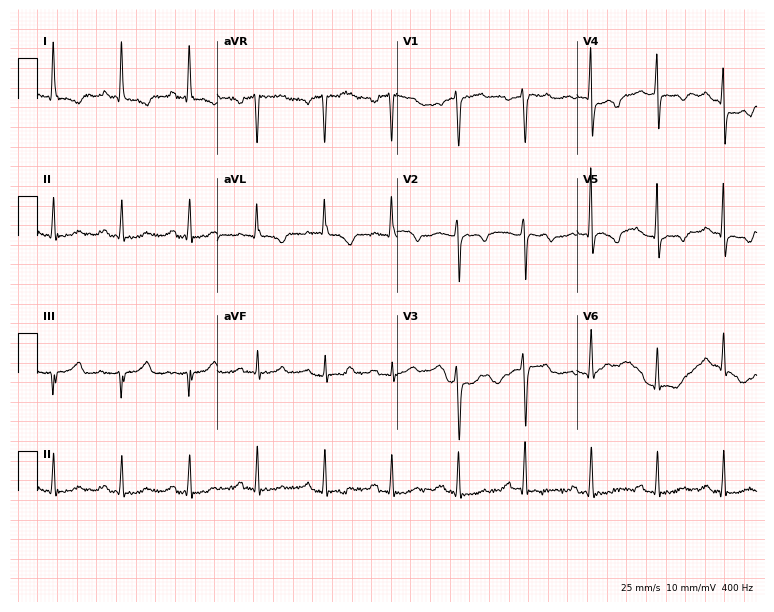
Standard 12-lead ECG recorded from a 72-year-old woman. None of these six findings is recorded: first-degree AV block, right bundle branch block, left bundle branch block, sinus bradycardia, atrial fibrillation, sinus tachycardia. Other findings, if any, are not listed.